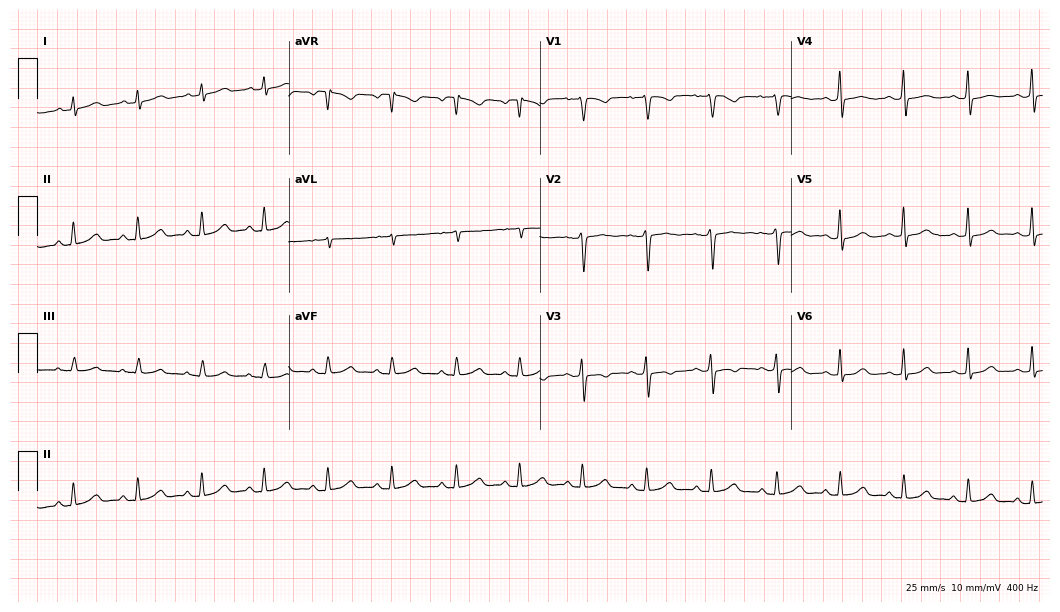
Standard 12-lead ECG recorded from a 36-year-old woman. None of these six findings is recorded: first-degree AV block, right bundle branch block, left bundle branch block, sinus bradycardia, atrial fibrillation, sinus tachycardia.